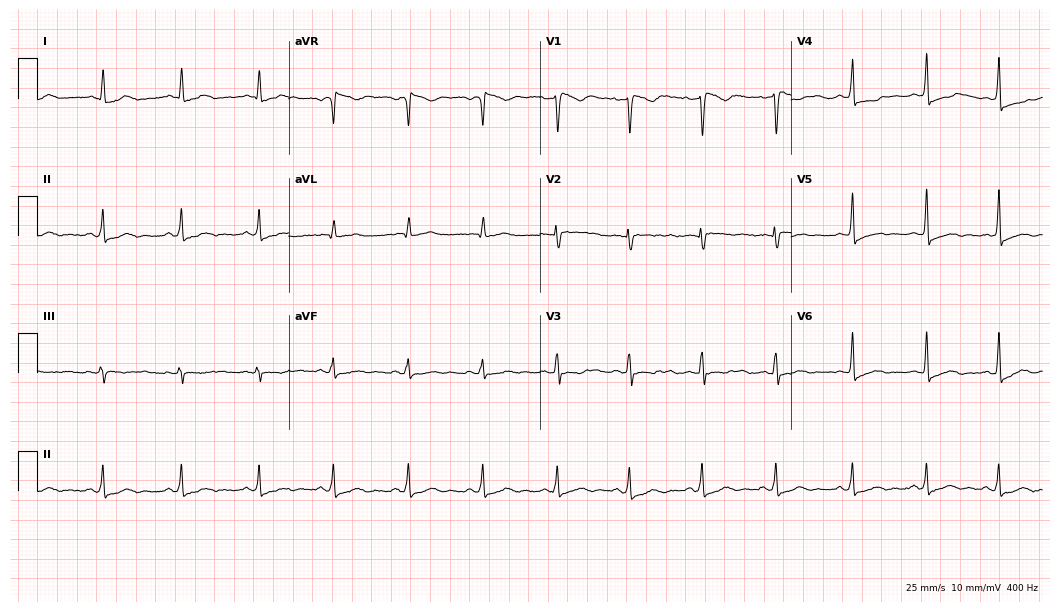
ECG — a female patient, 42 years old. Screened for six findings — first-degree AV block, right bundle branch block (RBBB), left bundle branch block (LBBB), sinus bradycardia, atrial fibrillation (AF), sinus tachycardia — none is recorded. Other findings, if any, are not listed.